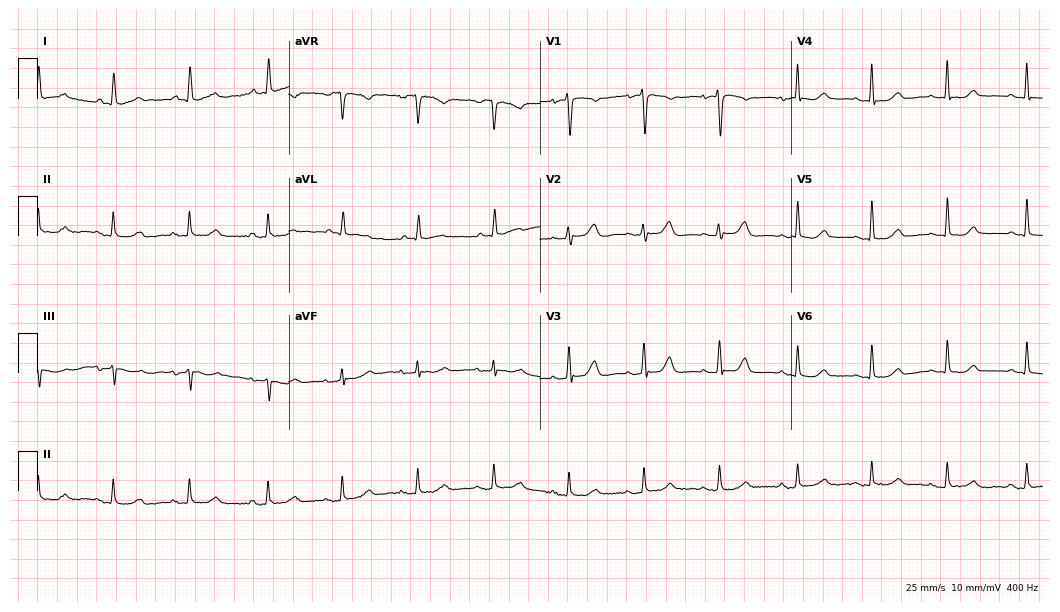
Resting 12-lead electrocardiogram. Patient: a 67-year-old woman. Read as a normal ECG.